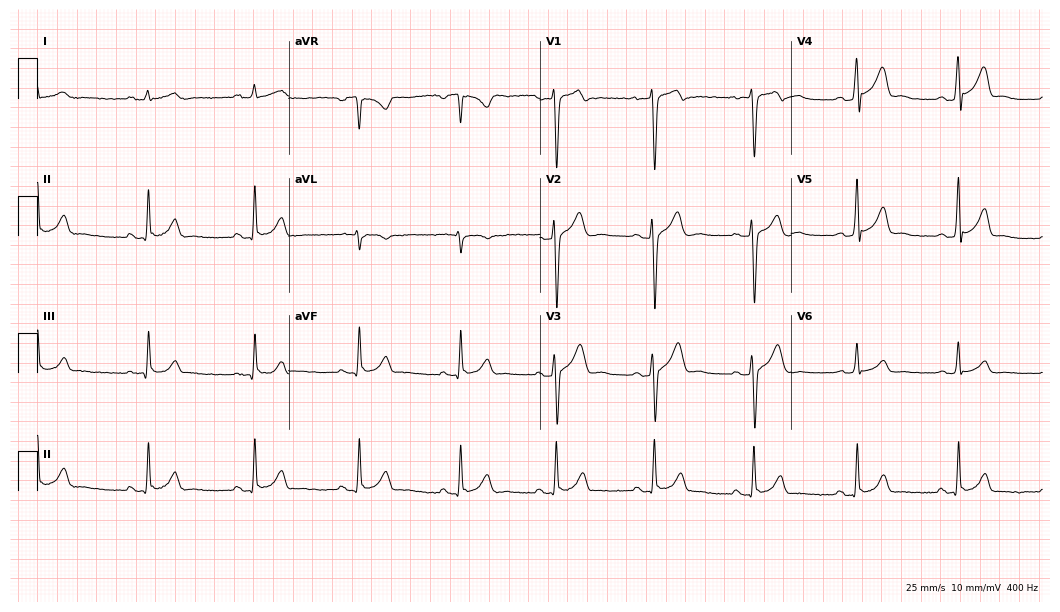
Resting 12-lead electrocardiogram. Patient: a 31-year-old man. Read as a normal ECG.